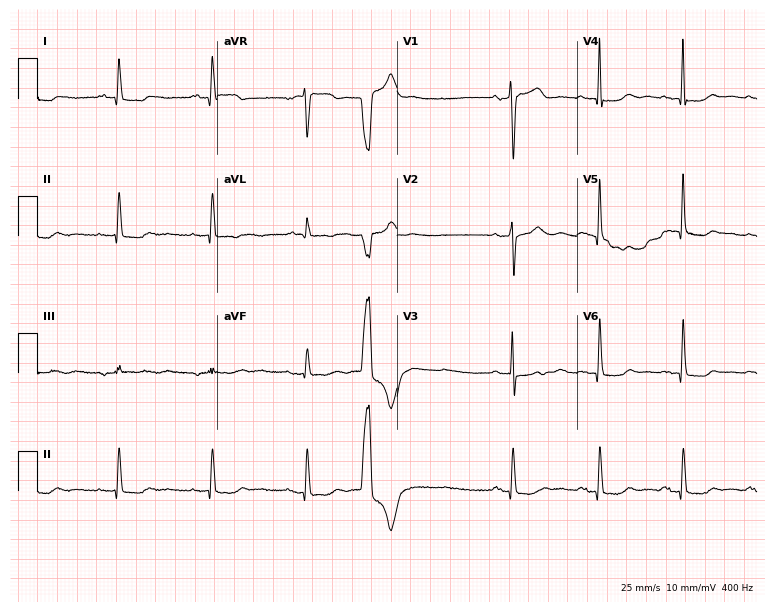
Resting 12-lead electrocardiogram. Patient: a 70-year-old woman. None of these six findings is recorded: first-degree AV block, right bundle branch block (RBBB), left bundle branch block (LBBB), sinus bradycardia, atrial fibrillation (AF), sinus tachycardia.